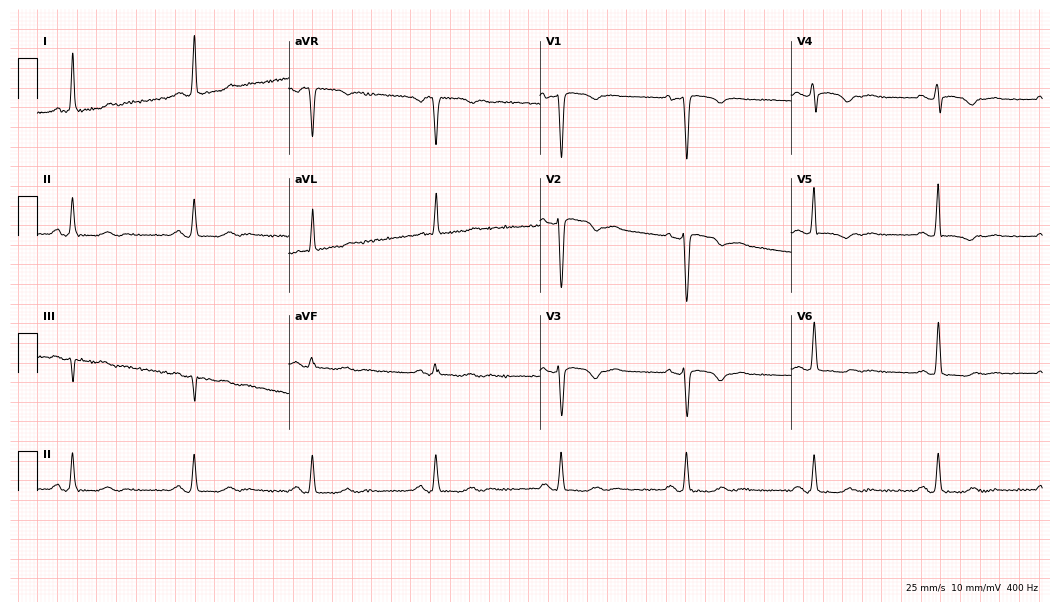
12-lead ECG from a 62-year-old female patient. No first-degree AV block, right bundle branch block, left bundle branch block, sinus bradycardia, atrial fibrillation or sinus tachycardia recorded for this tracing. Other findings, if any, are not listed.